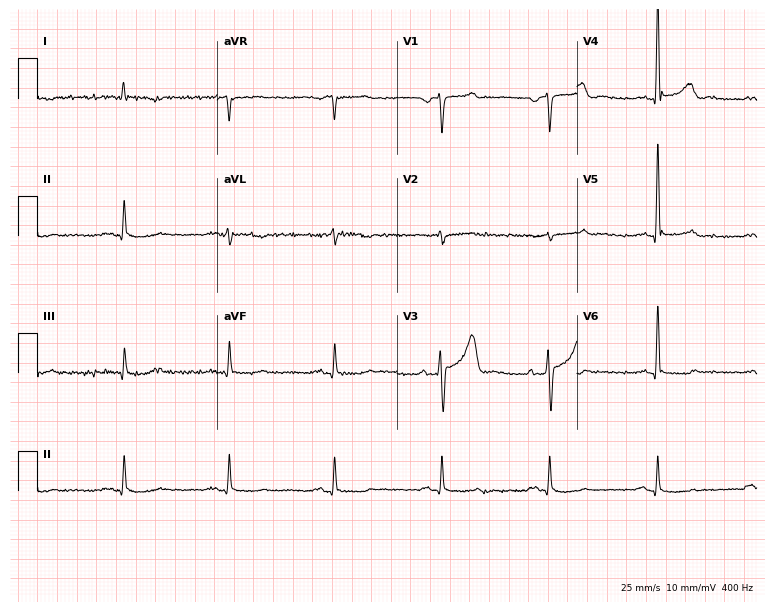
ECG (7.3-second recording at 400 Hz) — a male patient, 63 years old. Screened for six findings — first-degree AV block, right bundle branch block (RBBB), left bundle branch block (LBBB), sinus bradycardia, atrial fibrillation (AF), sinus tachycardia — none is recorded. Findings outside these six are not listed.